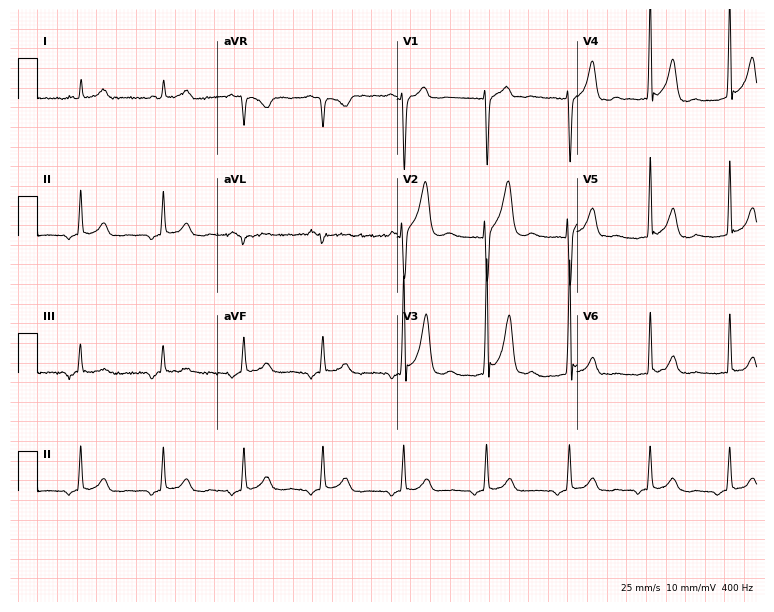
12-lead ECG from a 38-year-old man (7.3-second recording at 400 Hz). No first-degree AV block, right bundle branch block (RBBB), left bundle branch block (LBBB), sinus bradycardia, atrial fibrillation (AF) or sinus tachycardia recorded for this tracing.